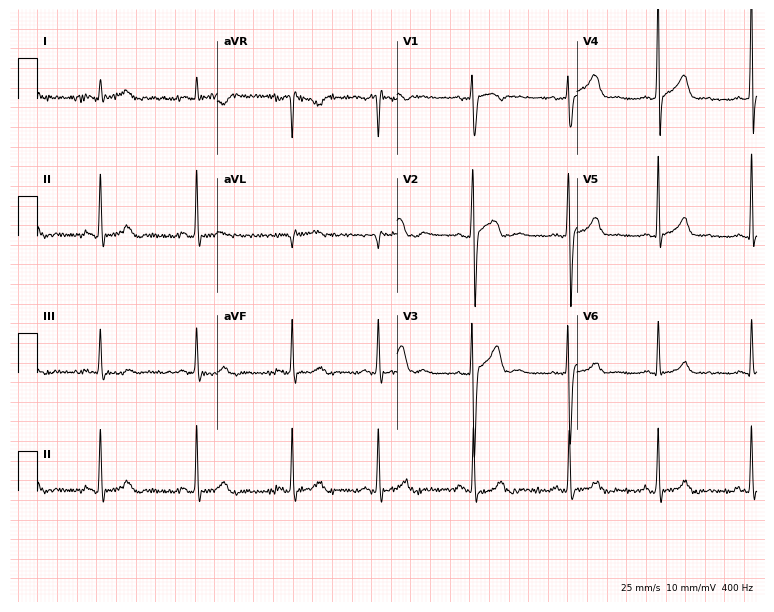
Electrocardiogram, a 22-year-old male patient. Of the six screened findings (first-degree AV block, right bundle branch block (RBBB), left bundle branch block (LBBB), sinus bradycardia, atrial fibrillation (AF), sinus tachycardia), none is recorded.